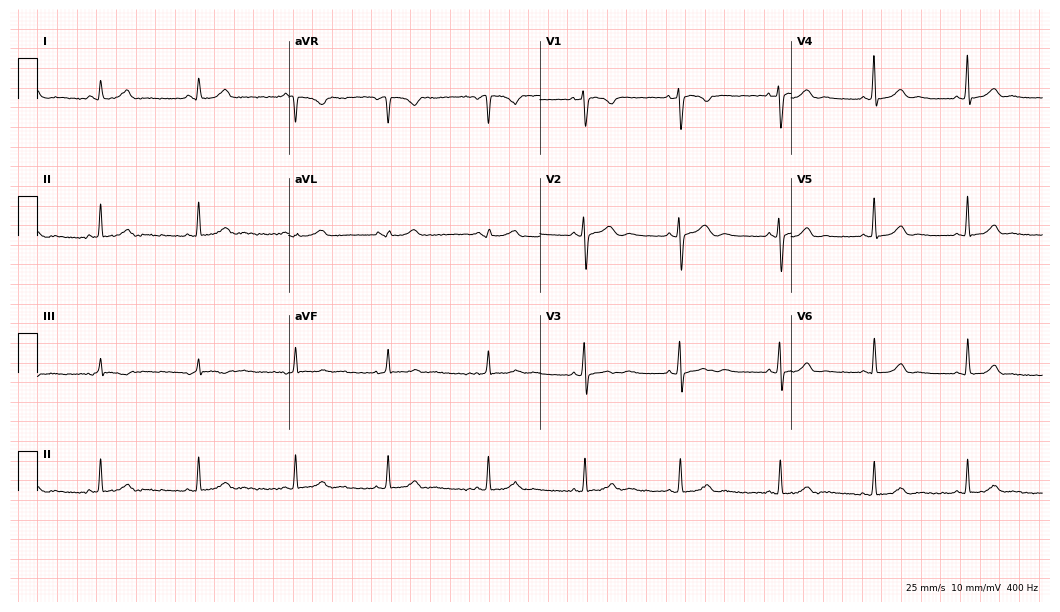
ECG (10.2-second recording at 400 Hz) — a 31-year-old female. Labelled as a normal ECG.